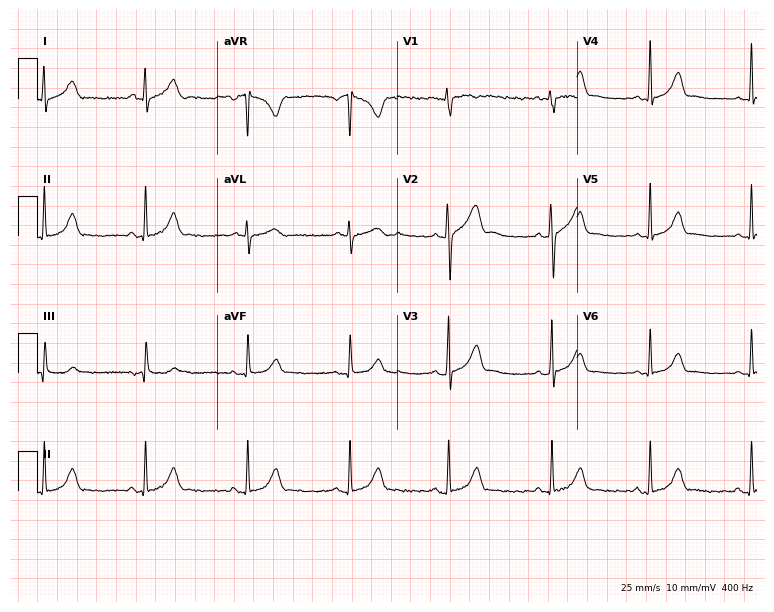
Standard 12-lead ECG recorded from a 28-year-old woman (7.3-second recording at 400 Hz). Read as a normal ECG.